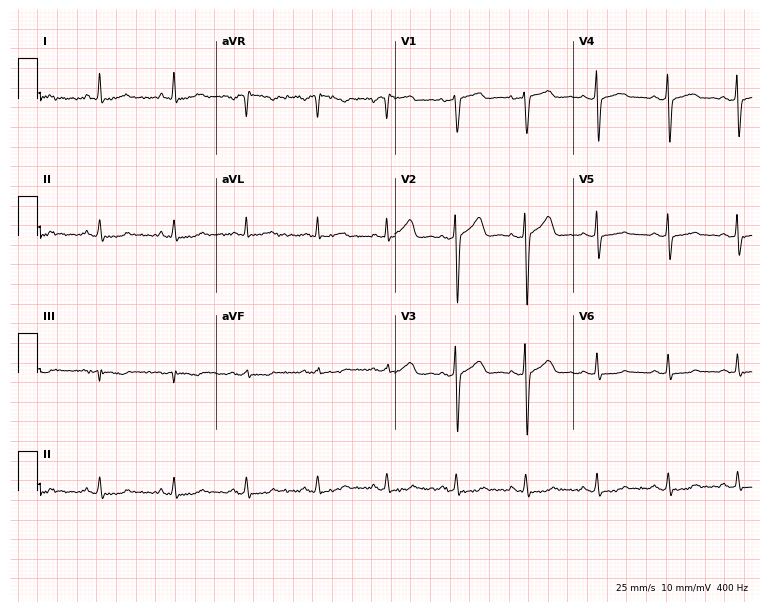
12-lead ECG from a 47-year-old woman. Labelled as a normal ECG.